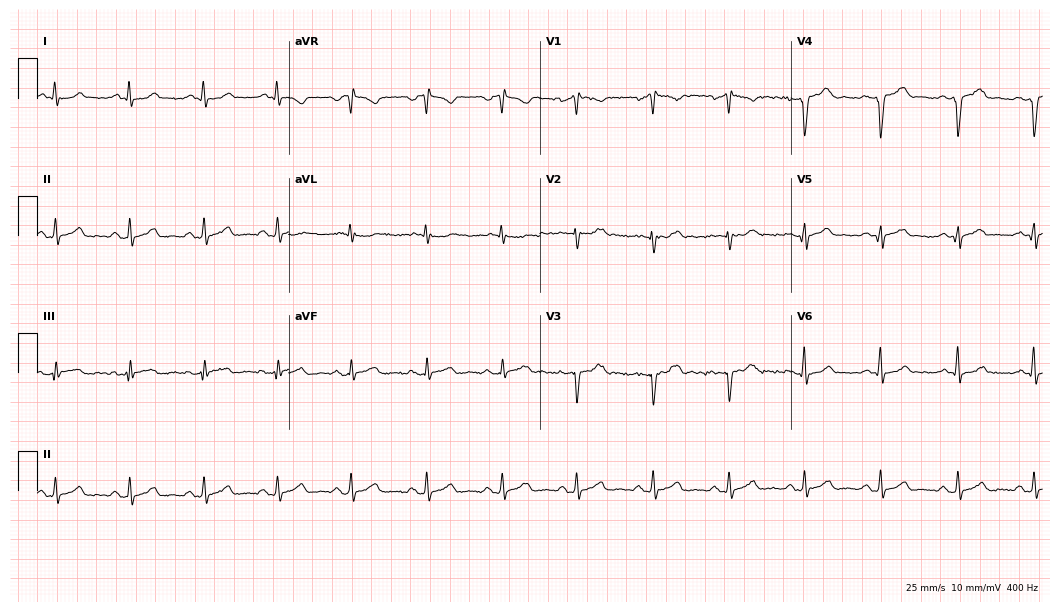
Standard 12-lead ECG recorded from a 41-year-old male patient. Read as a normal ECG.